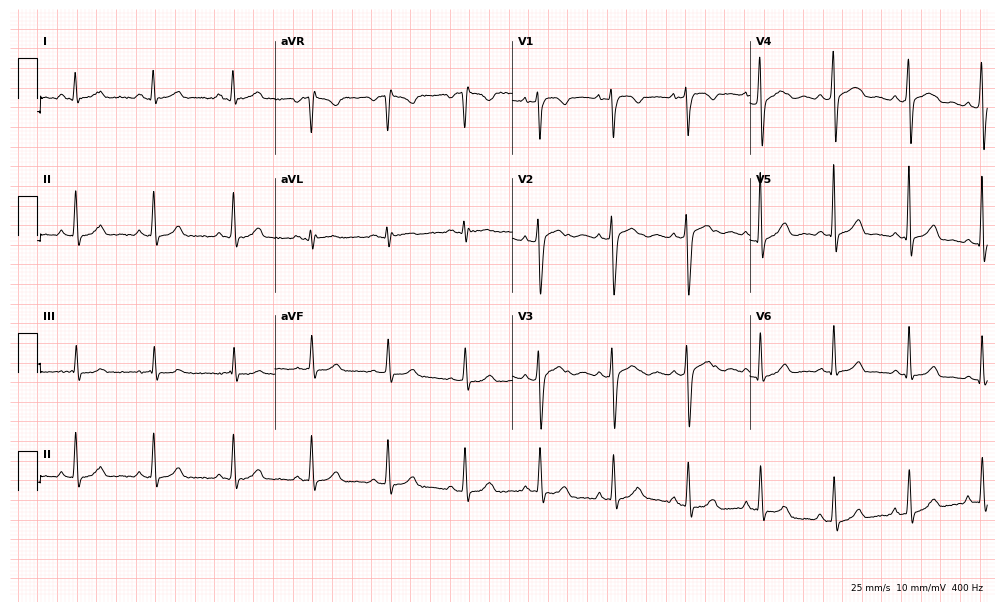
ECG (9.7-second recording at 400 Hz) — a 28-year-old female patient. Labelled as a normal ECG.